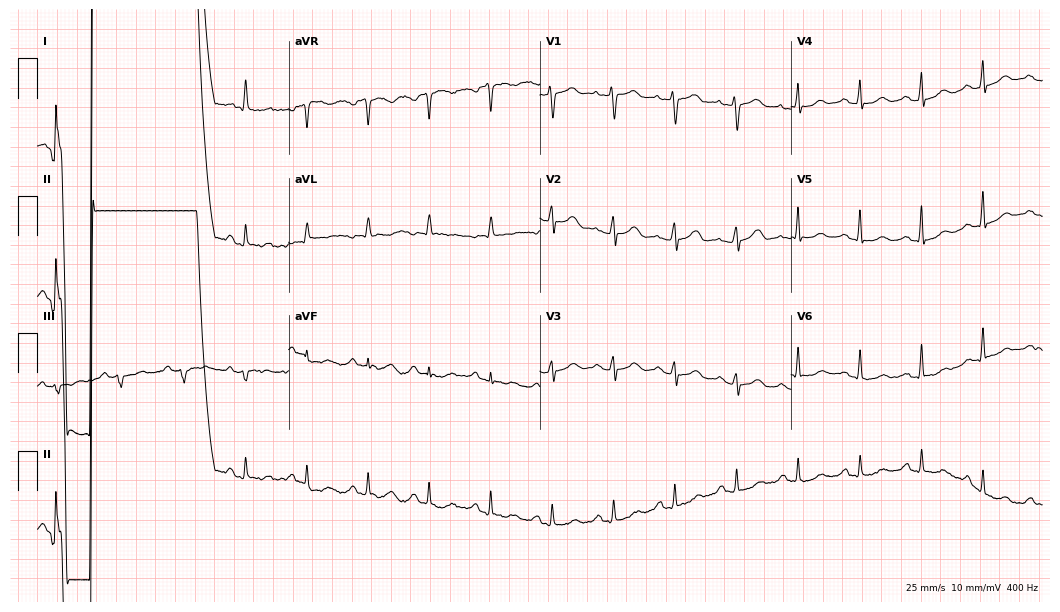
Standard 12-lead ECG recorded from a 61-year-old female patient (10.2-second recording at 400 Hz). None of these six findings is recorded: first-degree AV block, right bundle branch block, left bundle branch block, sinus bradycardia, atrial fibrillation, sinus tachycardia.